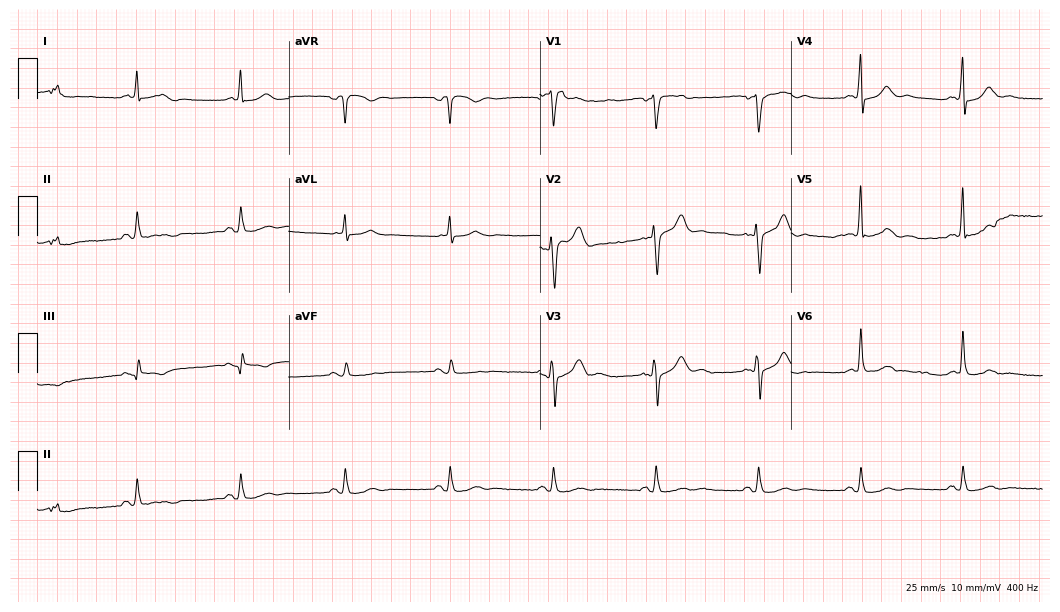
Resting 12-lead electrocardiogram (10.2-second recording at 400 Hz). Patient: a male, 68 years old. Read as a normal ECG.